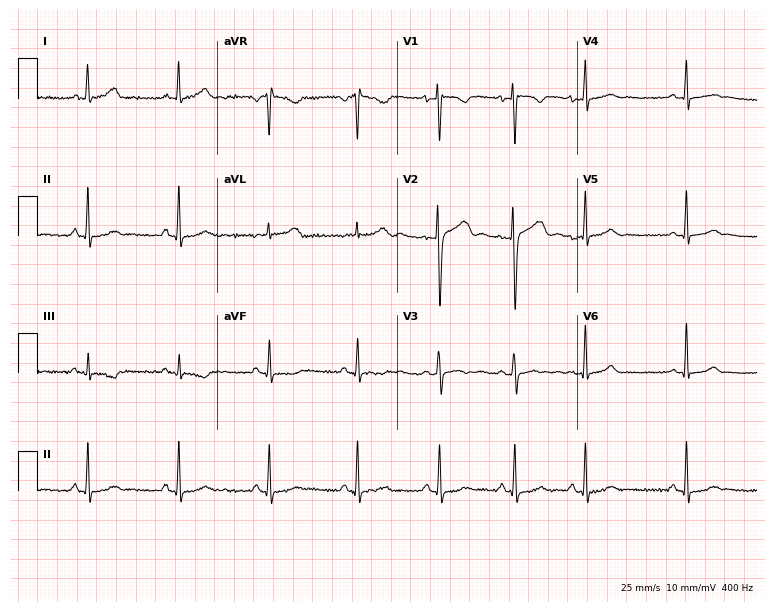
12-lead ECG from a 21-year-old female patient (7.3-second recording at 400 Hz). Recorded interpretation: within normal limits.